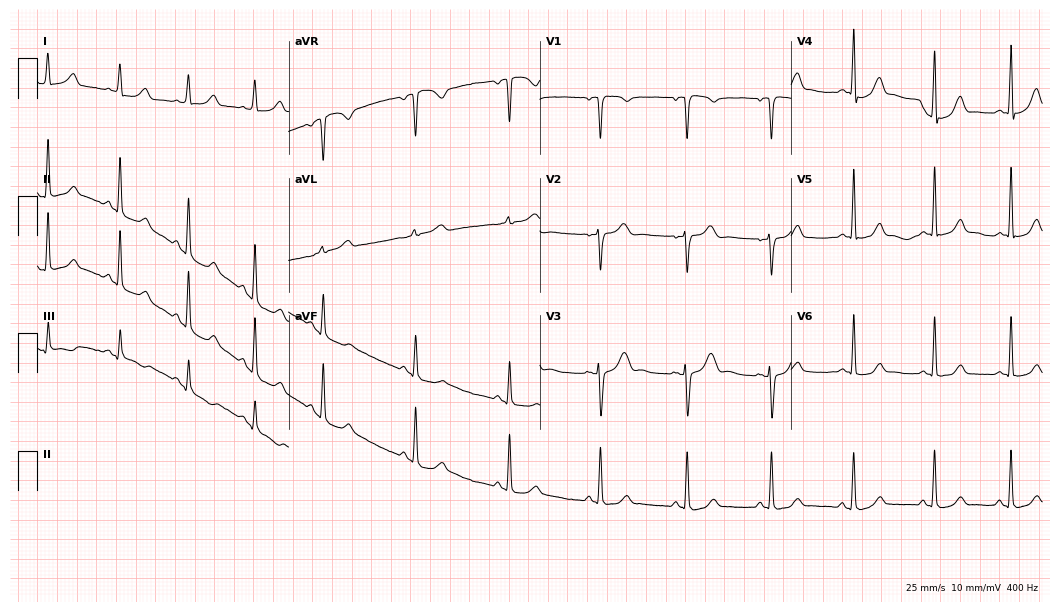
Standard 12-lead ECG recorded from a 27-year-old female patient. Read as a normal ECG.